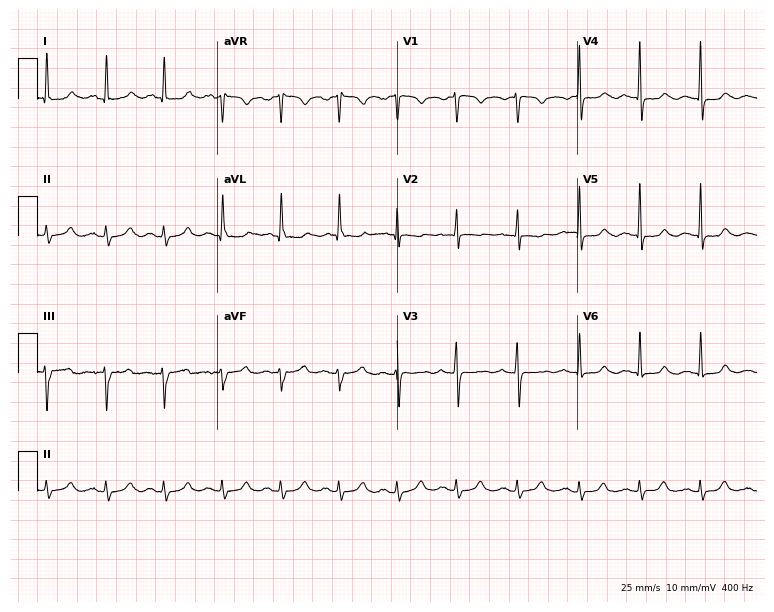
ECG (7.3-second recording at 400 Hz) — a female patient, 42 years old. Screened for six findings — first-degree AV block, right bundle branch block (RBBB), left bundle branch block (LBBB), sinus bradycardia, atrial fibrillation (AF), sinus tachycardia — none is recorded.